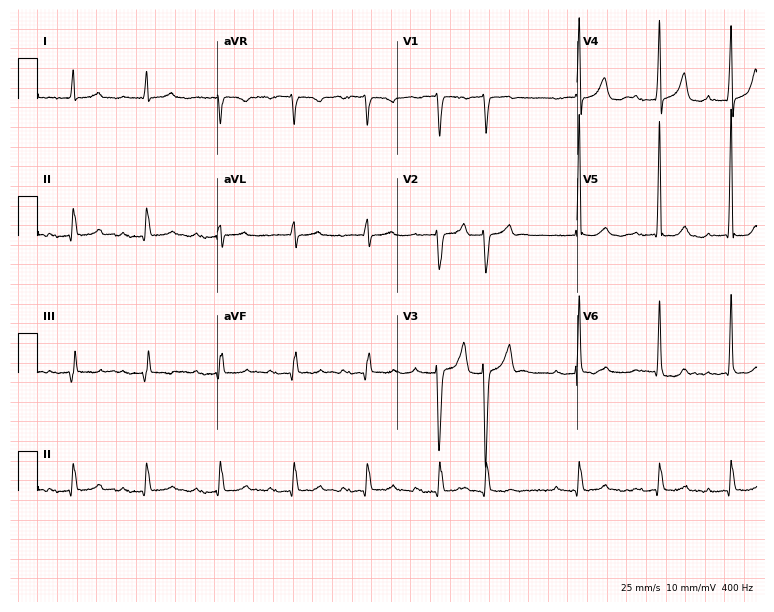
Resting 12-lead electrocardiogram. Patient: an 80-year-old male. The tracing shows first-degree AV block.